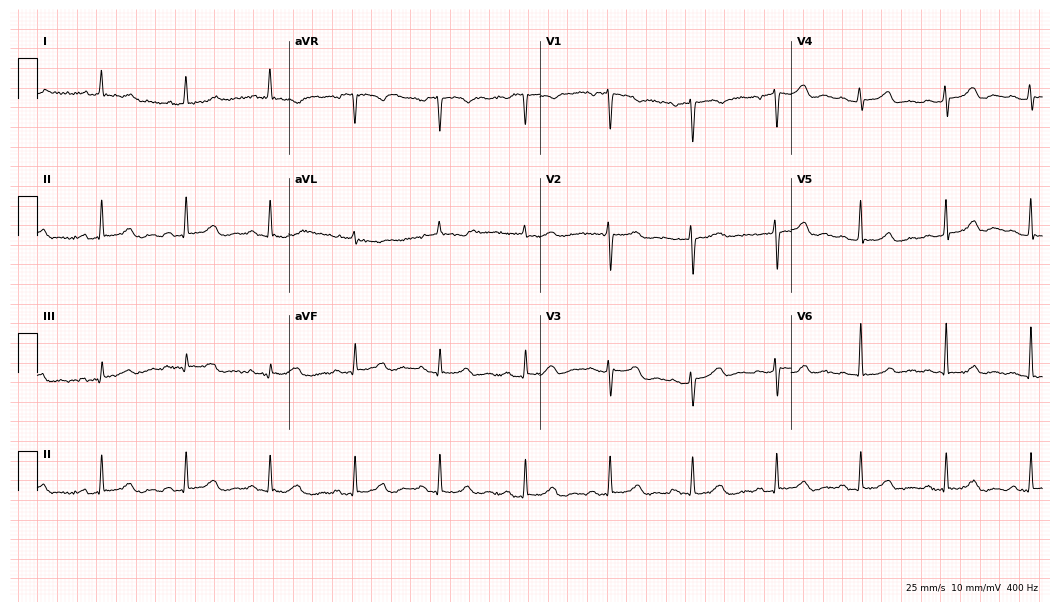
Resting 12-lead electrocardiogram (10.2-second recording at 400 Hz). Patient: an 81-year-old woman. None of these six findings is recorded: first-degree AV block, right bundle branch block (RBBB), left bundle branch block (LBBB), sinus bradycardia, atrial fibrillation (AF), sinus tachycardia. Other findings, if any, are not listed.